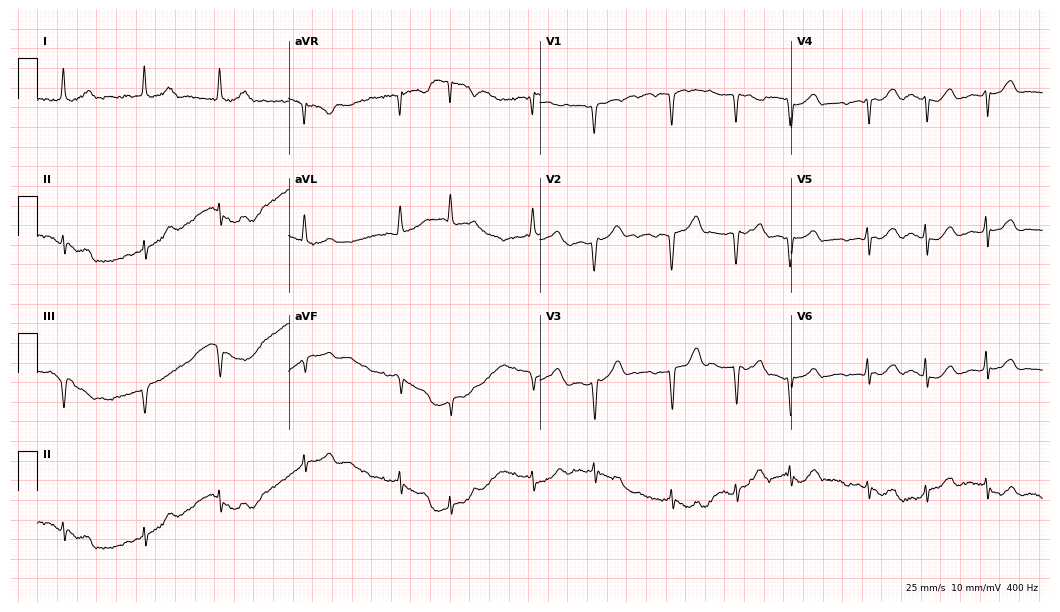
Electrocardiogram, a female patient, 84 years old. Of the six screened findings (first-degree AV block, right bundle branch block, left bundle branch block, sinus bradycardia, atrial fibrillation, sinus tachycardia), none is recorded.